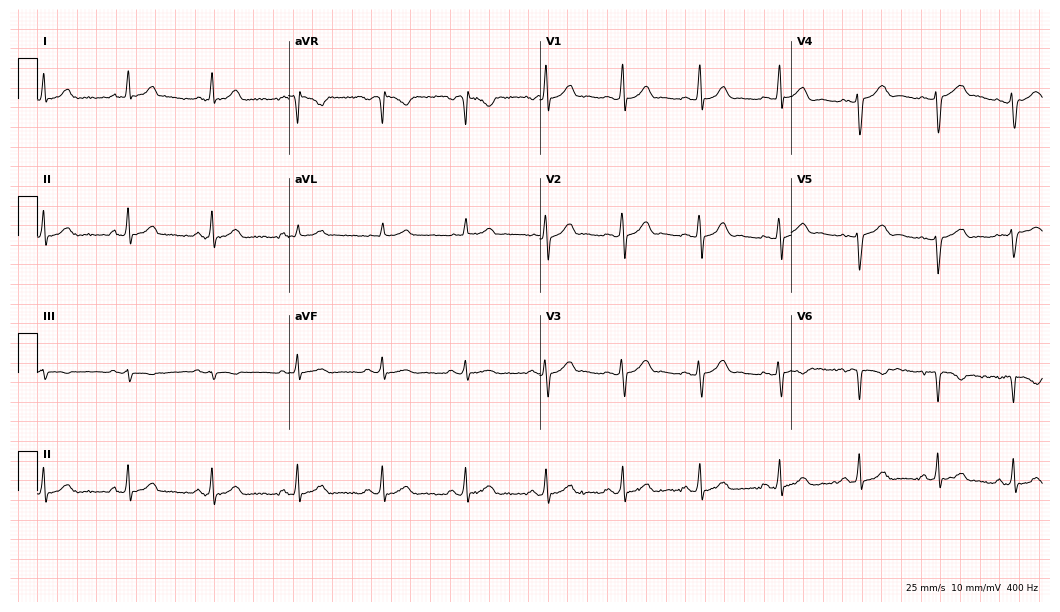
Standard 12-lead ECG recorded from a woman, 25 years old. None of these six findings is recorded: first-degree AV block, right bundle branch block, left bundle branch block, sinus bradycardia, atrial fibrillation, sinus tachycardia. Other findings, if any, are not listed.